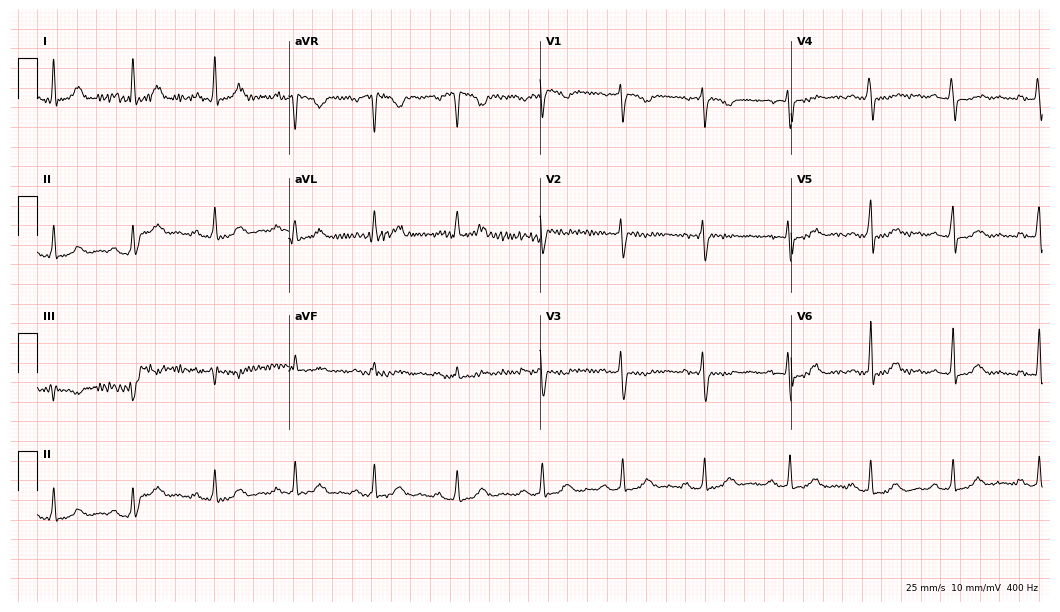
12-lead ECG from a 44-year-old female (10.2-second recording at 400 Hz). No first-degree AV block, right bundle branch block, left bundle branch block, sinus bradycardia, atrial fibrillation or sinus tachycardia recorded for this tracing.